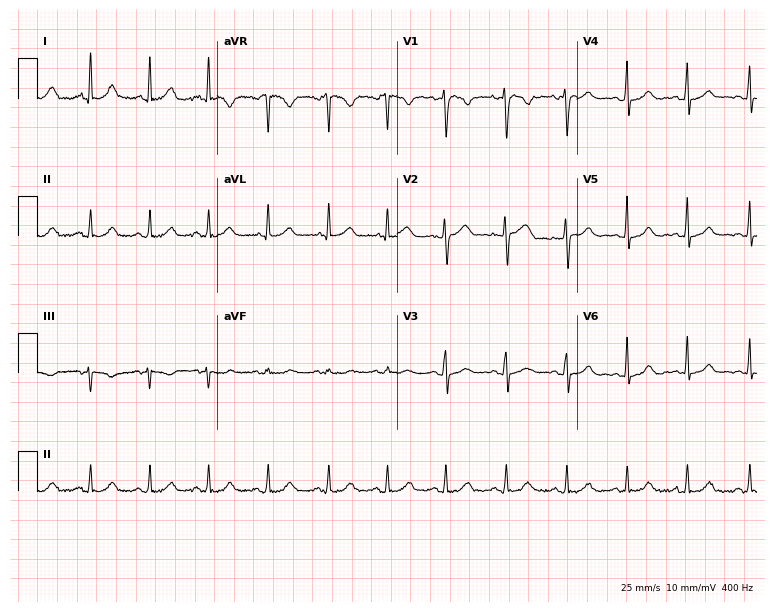
Standard 12-lead ECG recorded from a 35-year-old female patient (7.3-second recording at 400 Hz). Read as a normal ECG.